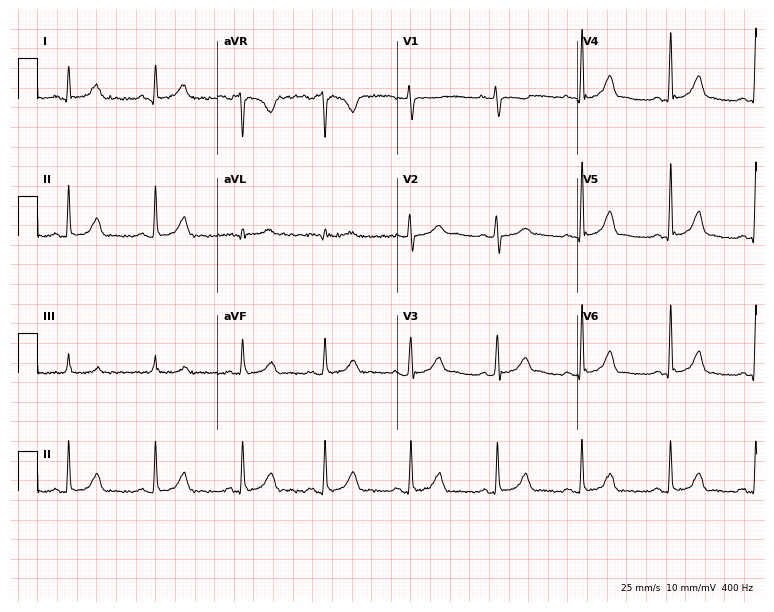
12-lead ECG from a female patient, 31 years old. Recorded interpretation: within normal limits.